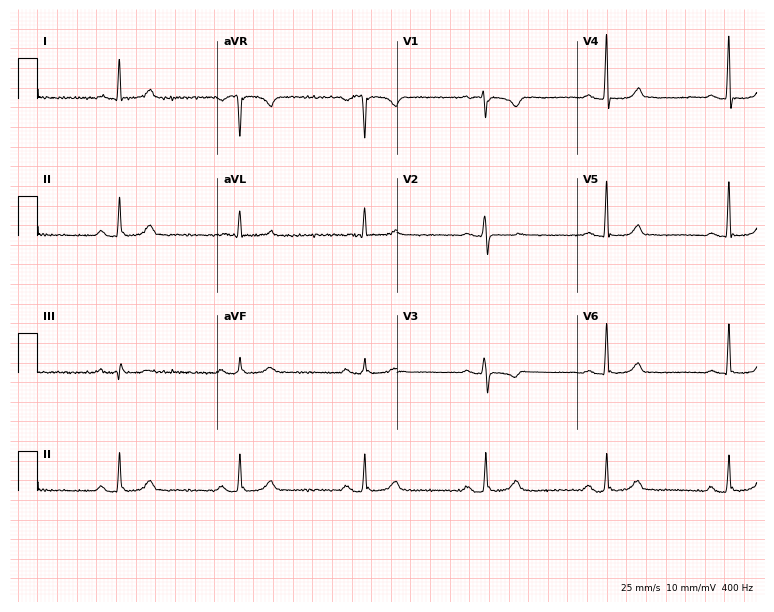
12-lead ECG (7.3-second recording at 400 Hz) from a female patient, 70 years old. Findings include sinus bradycardia (a sinus rate of 50 beats per minute or less).